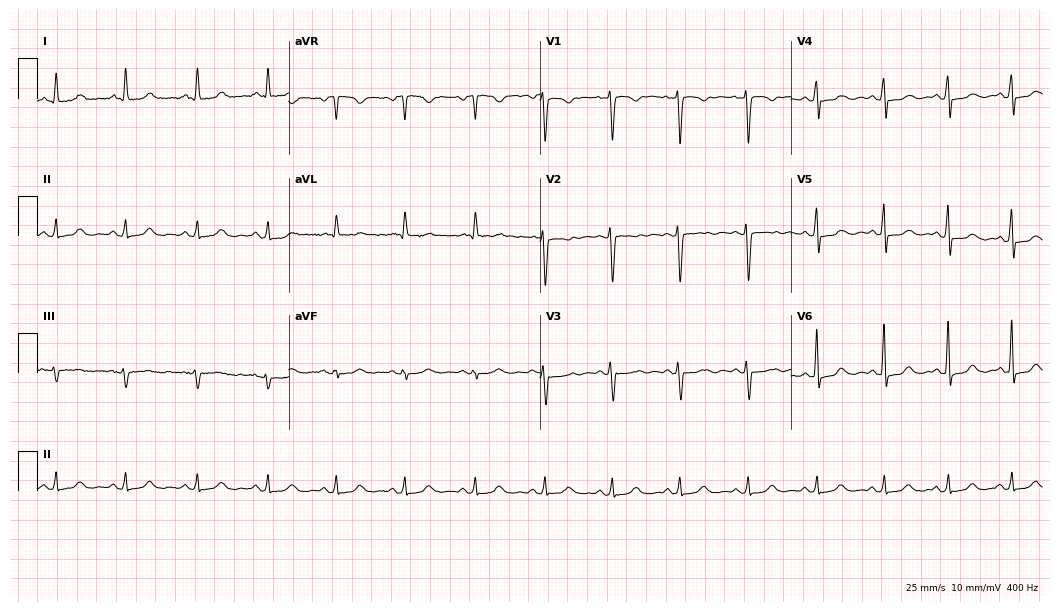
Electrocardiogram (10.2-second recording at 400 Hz), a 54-year-old woman. Of the six screened findings (first-degree AV block, right bundle branch block, left bundle branch block, sinus bradycardia, atrial fibrillation, sinus tachycardia), none is recorded. Other findings, if any, are not listed.